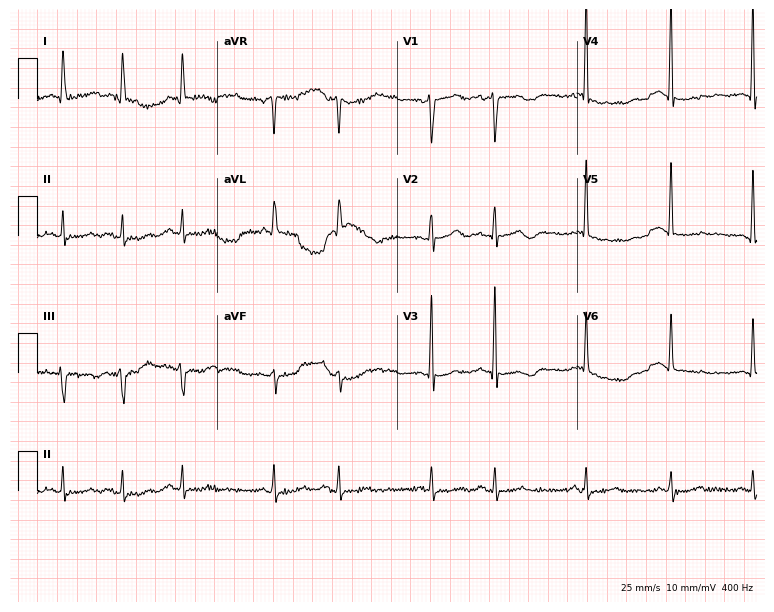
Standard 12-lead ECG recorded from a 75-year-old female patient (7.3-second recording at 400 Hz). None of these six findings is recorded: first-degree AV block, right bundle branch block, left bundle branch block, sinus bradycardia, atrial fibrillation, sinus tachycardia. Only these six findings were labelled.